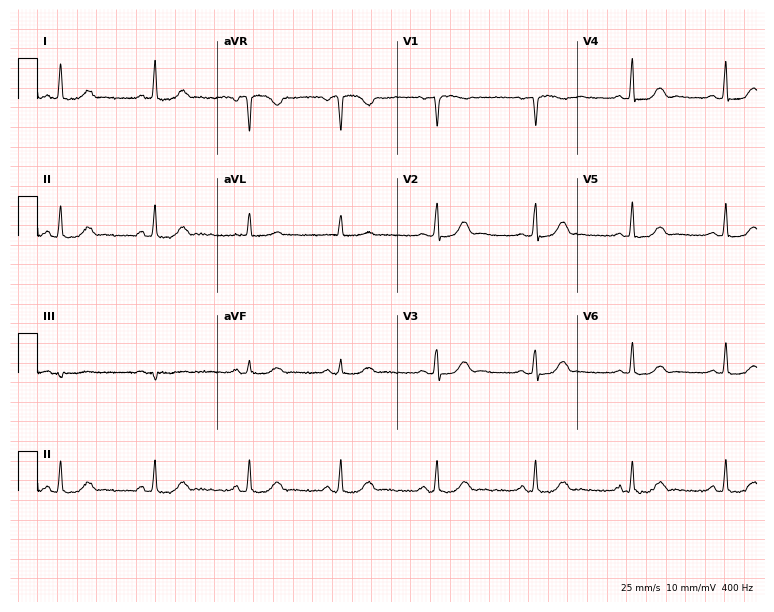
12-lead ECG from a female, 58 years old (7.3-second recording at 400 Hz). No first-degree AV block, right bundle branch block (RBBB), left bundle branch block (LBBB), sinus bradycardia, atrial fibrillation (AF) or sinus tachycardia recorded for this tracing.